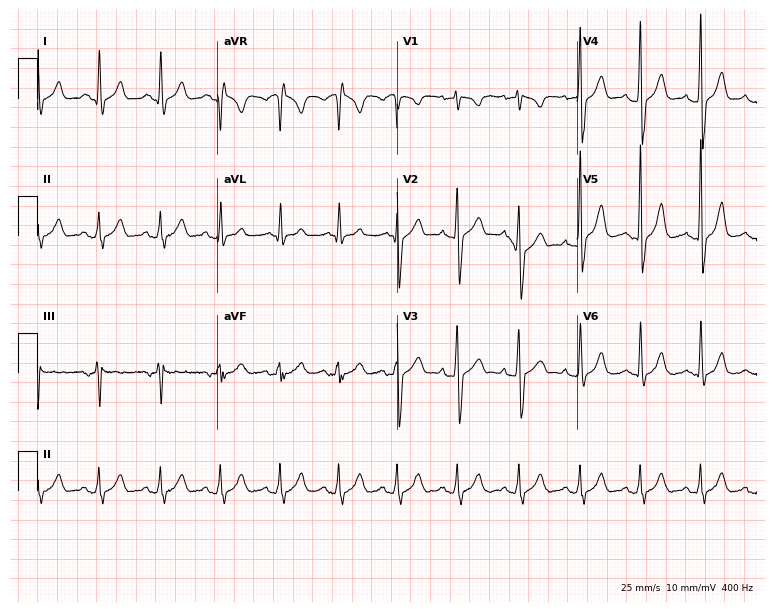
12-lead ECG from a male patient, 39 years old. Screened for six findings — first-degree AV block, right bundle branch block, left bundle branch block, sinus bradycardia, atrial fibrillation, sinus tachycardia — none is recorded.